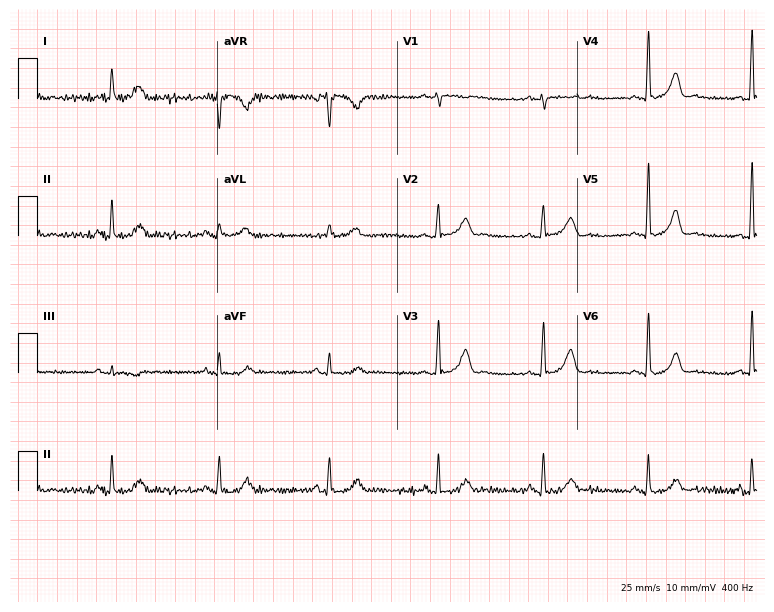
Resting 12-lead electrocardiogram. Patient: a 49-year-old female. Read as a normal ECG.